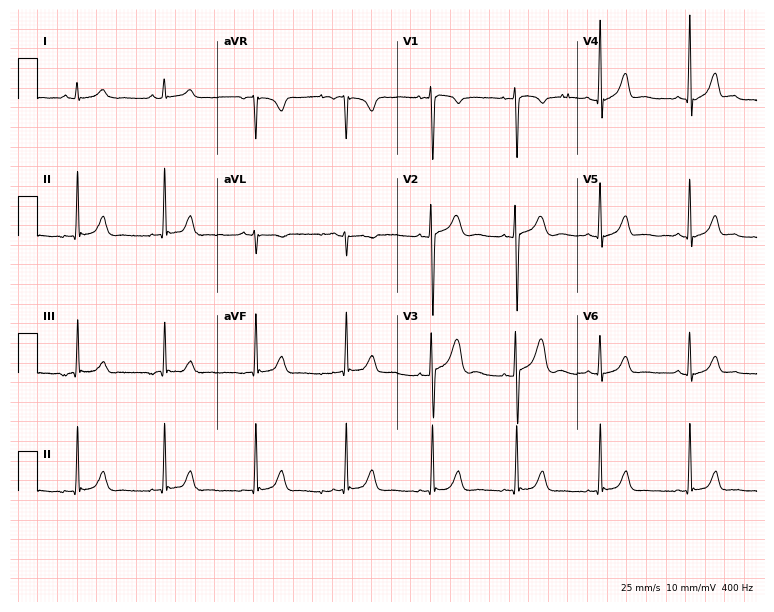
12-lead ECG from an 18-year-old female patient. No first-degree AV block, right bundle branch block (RBBB), left bundle branch block (LBBB), sinus bradycardia, atrial fibrillation (AF) or sinus tachycardia recorded for this tracing. Only these six findings were labelled.